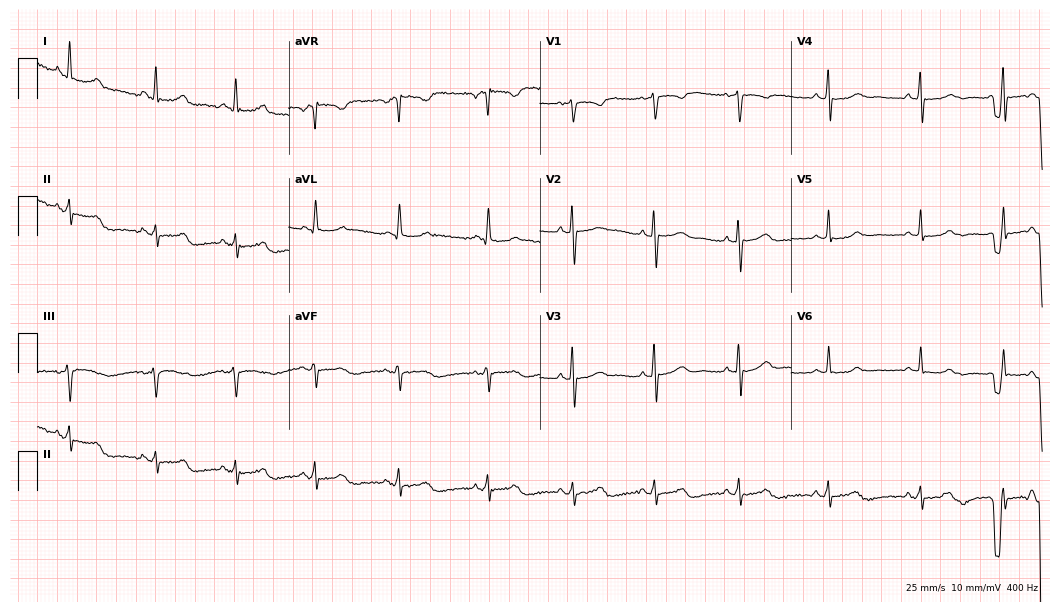
Resting 12-lead electrocardiogram (10.2-second recording at 400 Hz). Patient: a 34-year-old woman. None of these six findings is recorded: first-degree AV block, right bundle branch block, left bundle branch block, sinus bradycardia, atrial fibrillation, sinus tachycardia. Other findings, if any, are not listed.